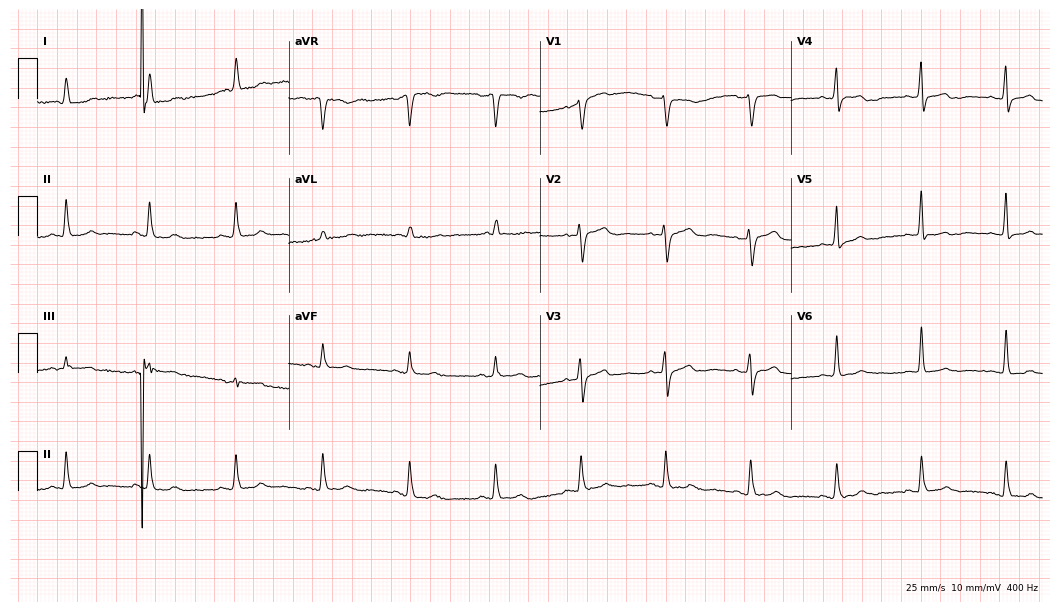
Electrocardiogram (10.2-second recording at 400 Hz), a 70-year-old female patient. Of the six screened findings (first-degree AV block, right bundle branch block (RBBB), left bundle branch block (LBBB), sinus bradycardia, atrial fibrillation (AF), sinus tachycardia), none is recorded.